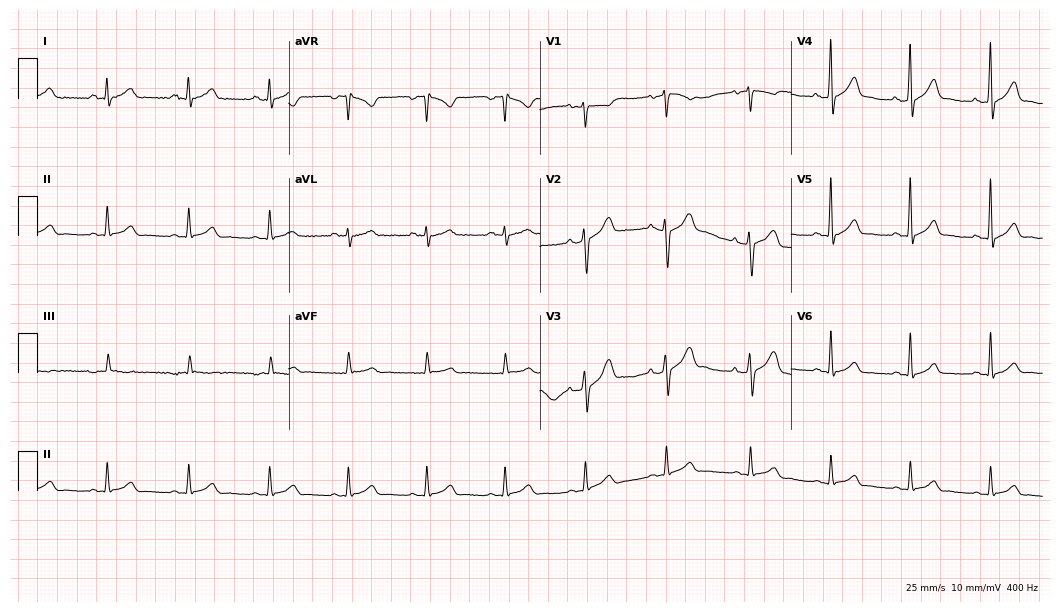
Resting 12-lead electrocardiogram. Patient: a male, 39 years old. Read as a normal ECG.